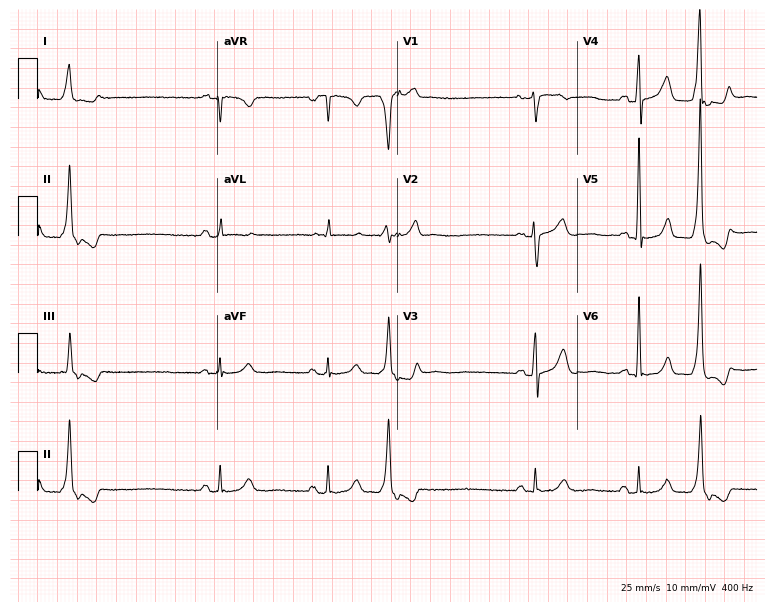
Electrocardiogram, a 64-year-old female. Overall reading on record: normal ECG.